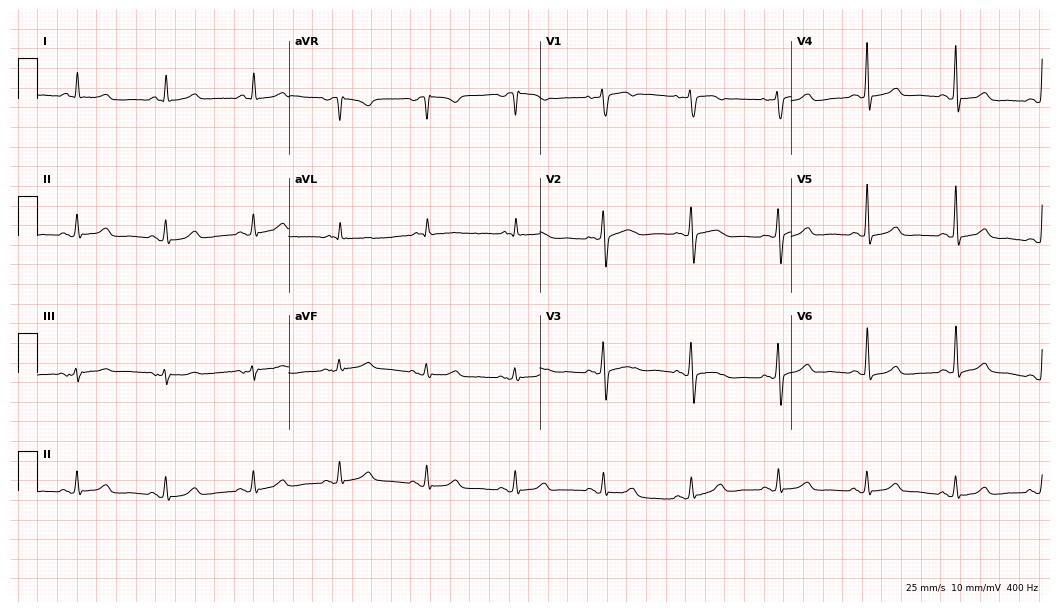
12-lead ECG from a female, 53 years old. Recorded interpretation: within normal limits.